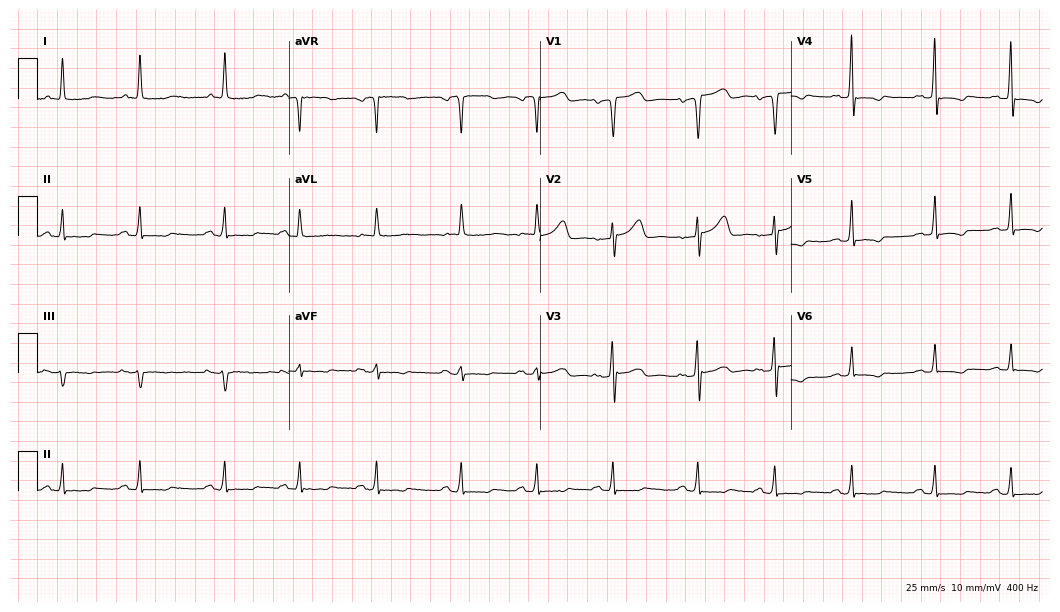
12-lead ECG (10.2-second recording at 400 Hz) from an 83-year-old female. Screened for six findings — first-degree AV block, right bundle branch block (RBBB), left bundle branch block (LBBB), sinus bradycardia, atrial fibrillation (AF), sinus tachycardia — none is recorded.